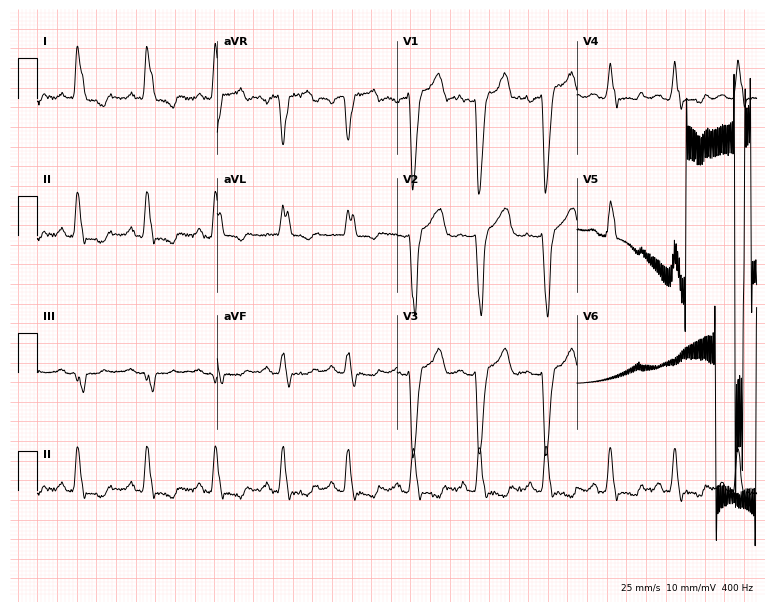
Resting 12-lead electrocardiogram (7.3-second recording at 400 Hz). Patient: a 57-year-old female. None of these six findings is recorded: first-degree AV block, right bundle branch block, left bundle branch block, sinus bradycardia, atrial fibrillation, sinus tachycardia.